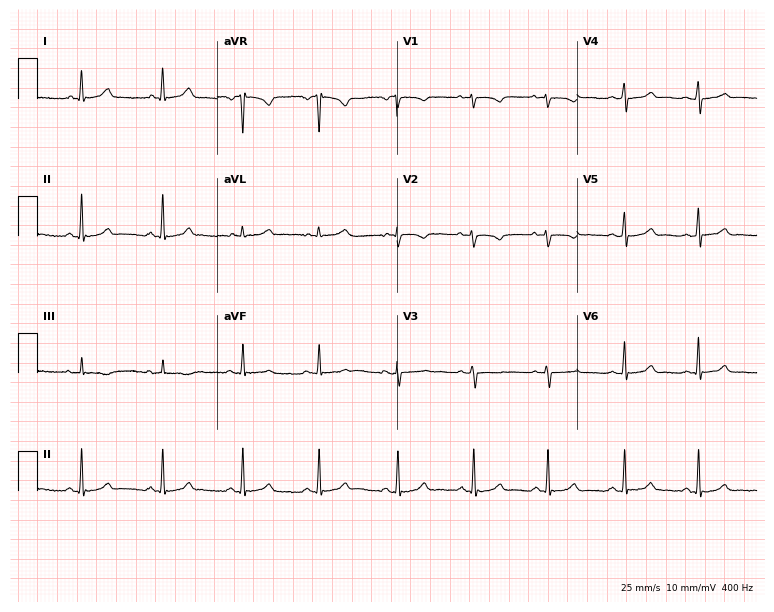
12-lead ECG from a female patient, 28 years old. Screened for six findings — first-degree AV block, right bundle branch block, left bundle branch block, sinus bradycardia, atrial fibrillation, sinus tachycardia — none is recorded. Findings outside these six are not listed.